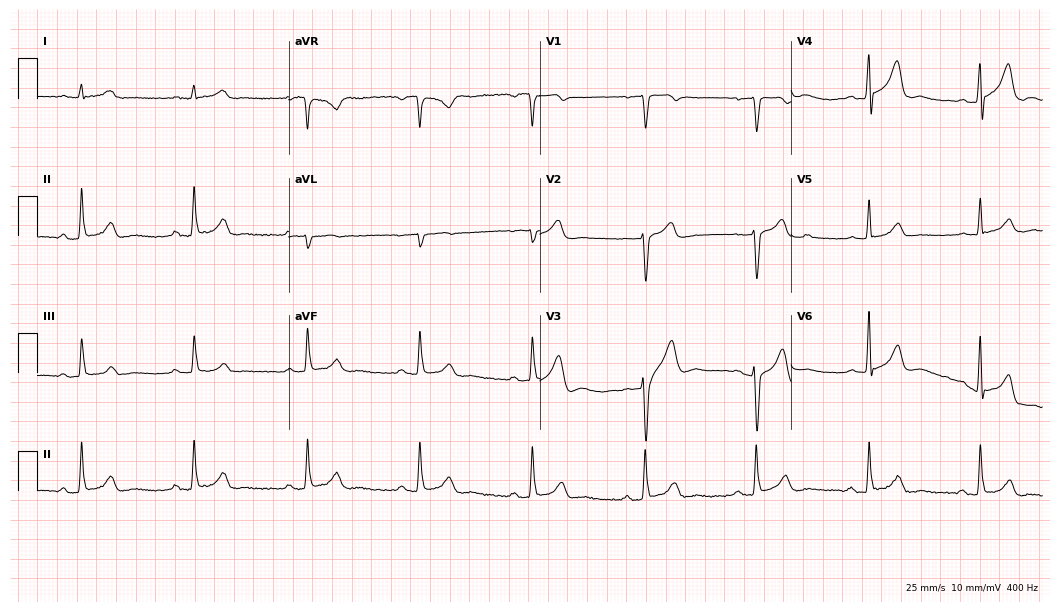
Standard 12-lead ECG recorded from a man, 60 years old. Read as a normal ECG.